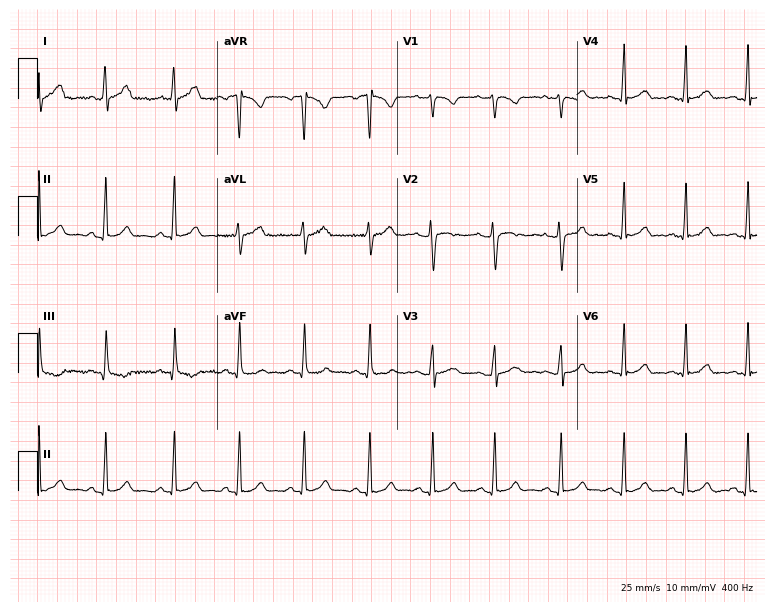
Standard 12-lead ECG recorded from a 22-year-old female patient (7.3-second recording at 400 Hz). Read as a normal ECG.